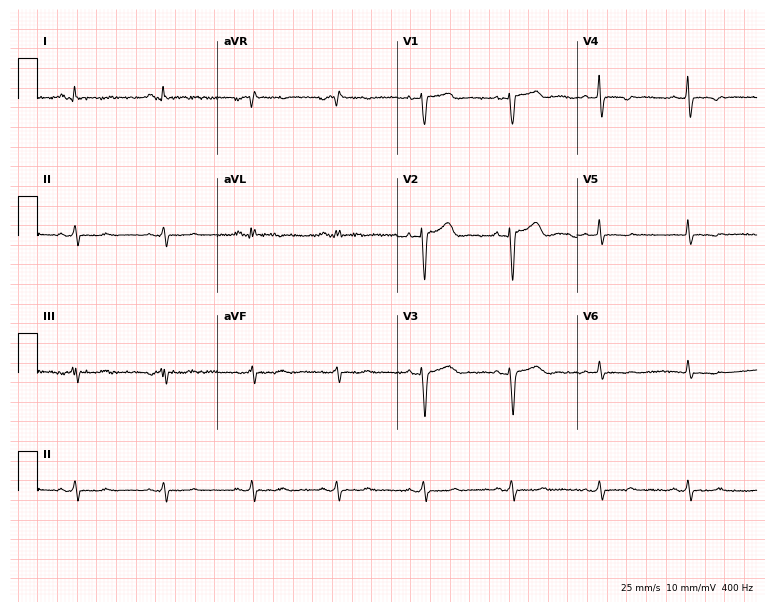
Standard 12-lead ECG recorded from a 39-year-old female patient (7.3-second recording at 400 Hz). None of these six findings is recorded: first-degree AV block, right bundle branch block (RBBB), left bundle branch block (LBBB), sinus bradycardia, atrial fibrillation (AF), sinus tachycardia.